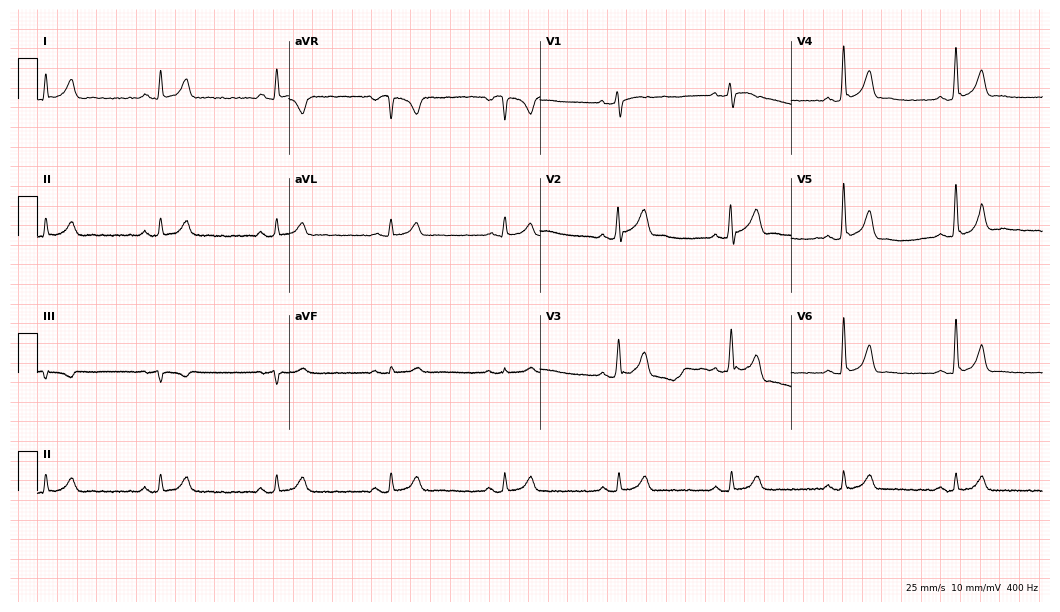
12-lead ECG from a 39-year-old male patient (10.2-second recording at 400 Hz). No first-degree AV block, right bundle branch block, left bundle branch block, sinus bradycardia, atrial fibrillation or sinus tachycardia recorded for this tracing.